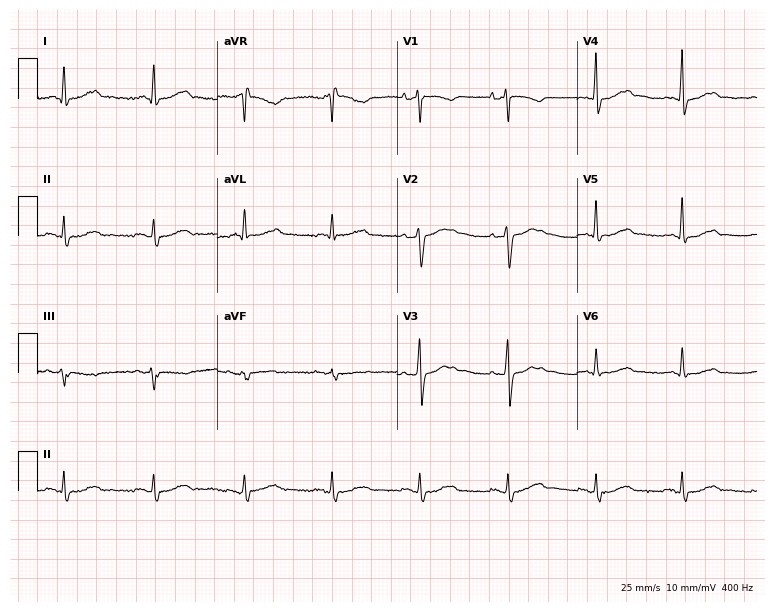
12-lead ECG (7.3-second recording at 400 Hz) from a 72-year-old female patient. Screened for six findings — first-degree AV block, right bundle branch block, left bundle branch block, sinus bradycardia, atrial fibrillation, sinus tachycardia — none is recorded.